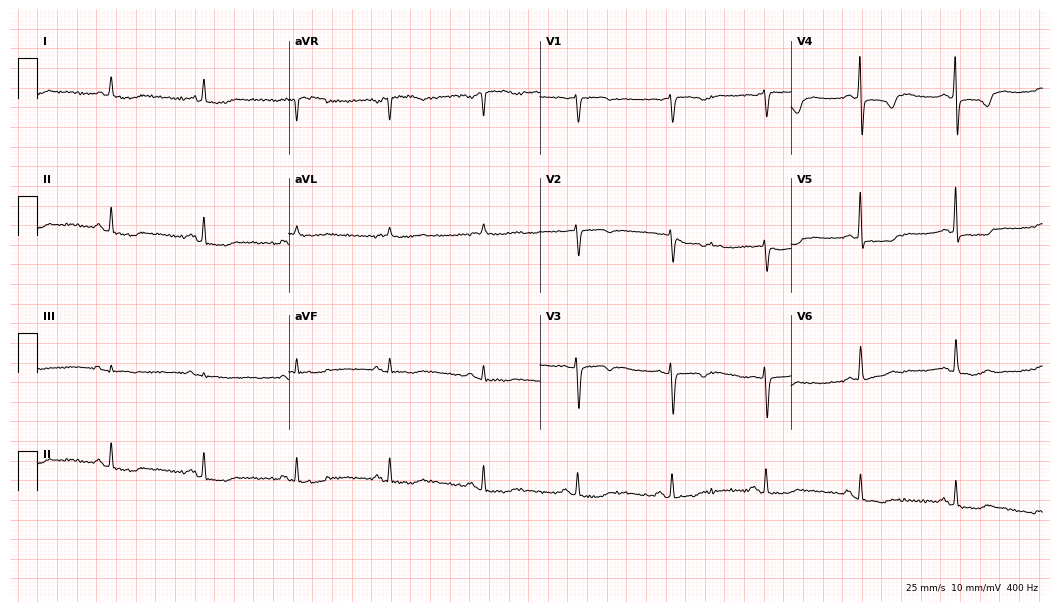
Resting 12-lead electrocardiogram. Patient: a 73-year-old woman. None of these six findings is recorded: first-degree AV block, right bundle branch block, left bundle branch block, sinus bradycardia, atrial fibrillation, sinus tachycardia.